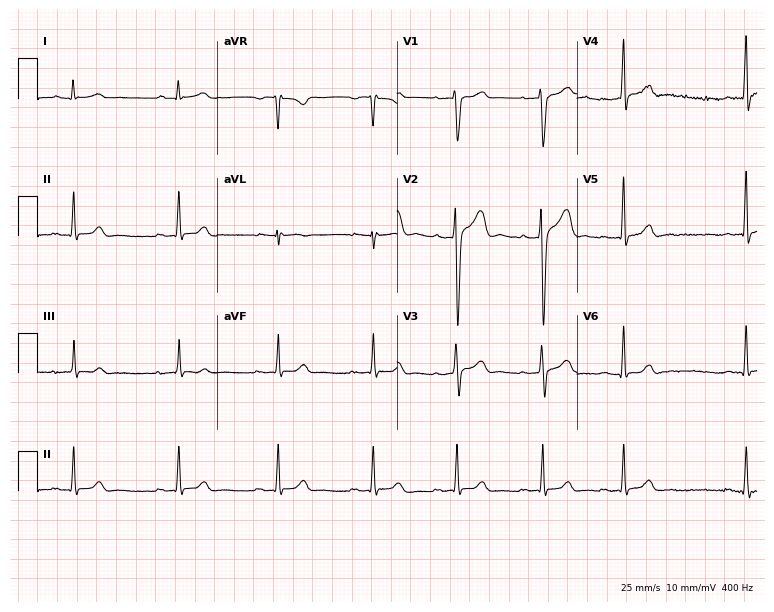
12-lead ECG from a 20-year-old male. No first-degree AV block, right bundle branch block (RBBB), left bundle branch block (LBBB), sinus bradycardia, atrial fibrillation (AF) or sinus tachycardia recorded for this tracing.